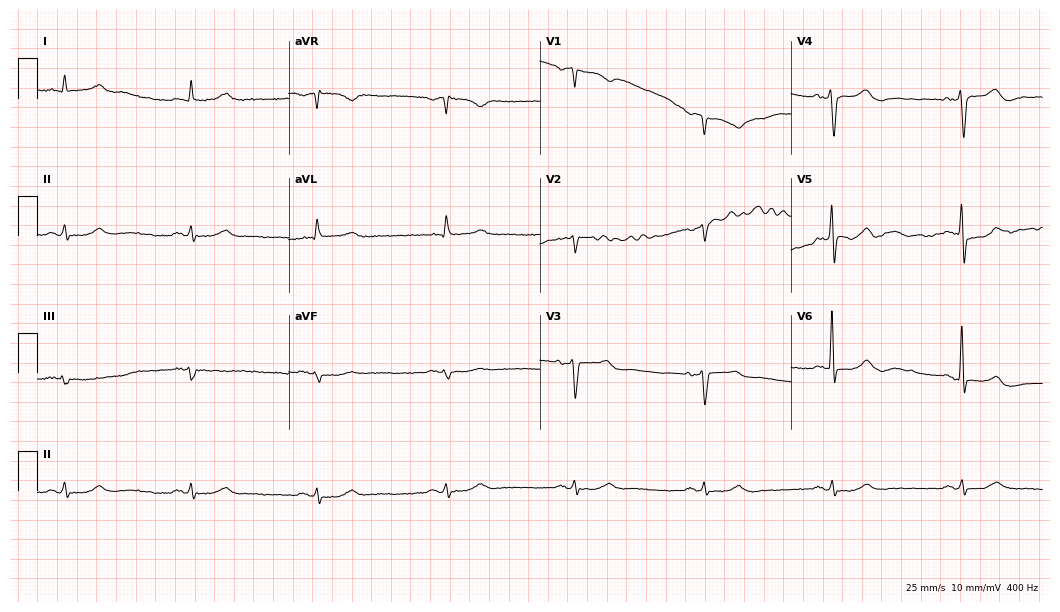
Resting 12-lead electrocardiogram (10.2-second recording at 400 Hz). Patient: a 74-year-old male. The tracing shows sinus bradycardia (a sinus rate of 50 beats per minute or less).